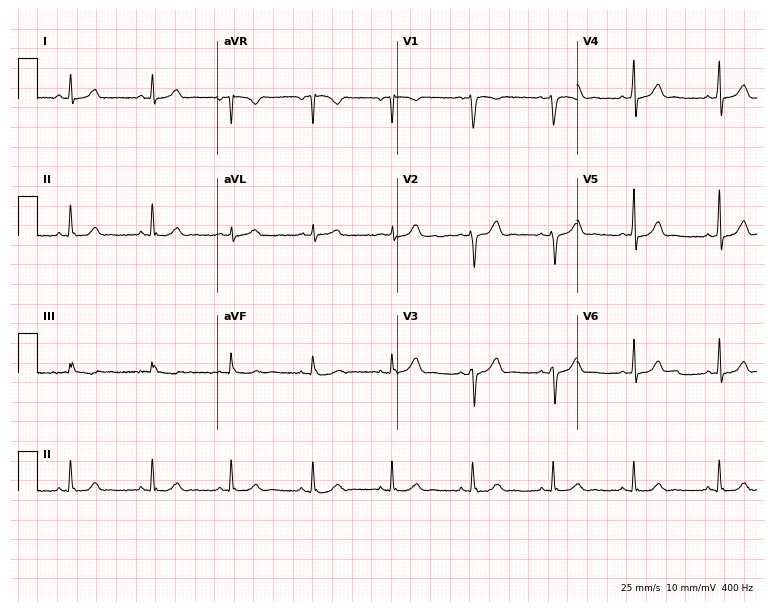
12-lead ECG (7.3-second recording at 400 Hz) from a 24-year-old female patient. Labelled as a normal ECG.